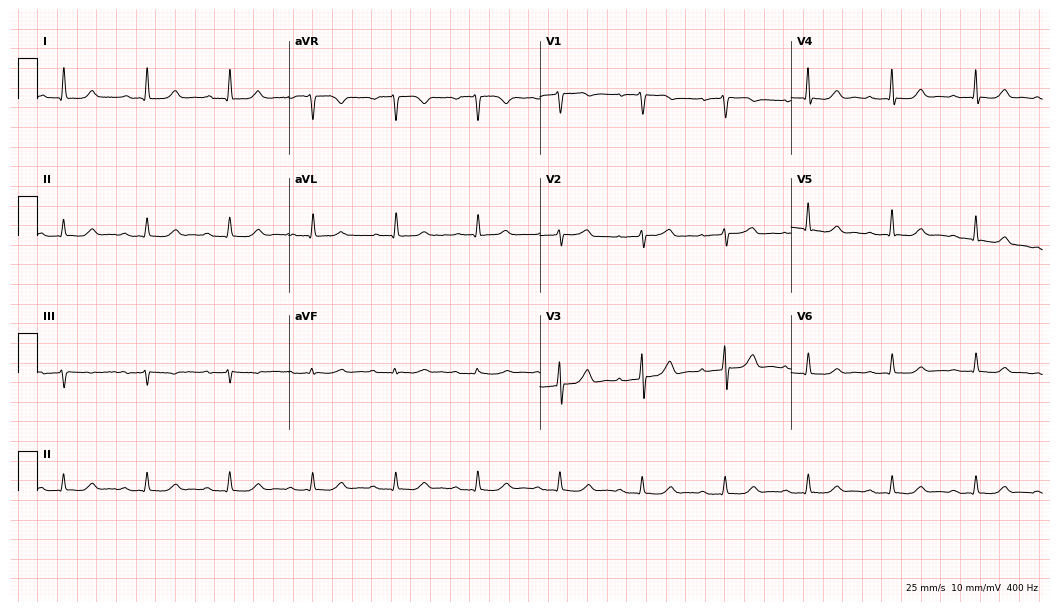
12-lead ECG from a woman, 76 years old. Findings include first-degree AV block.